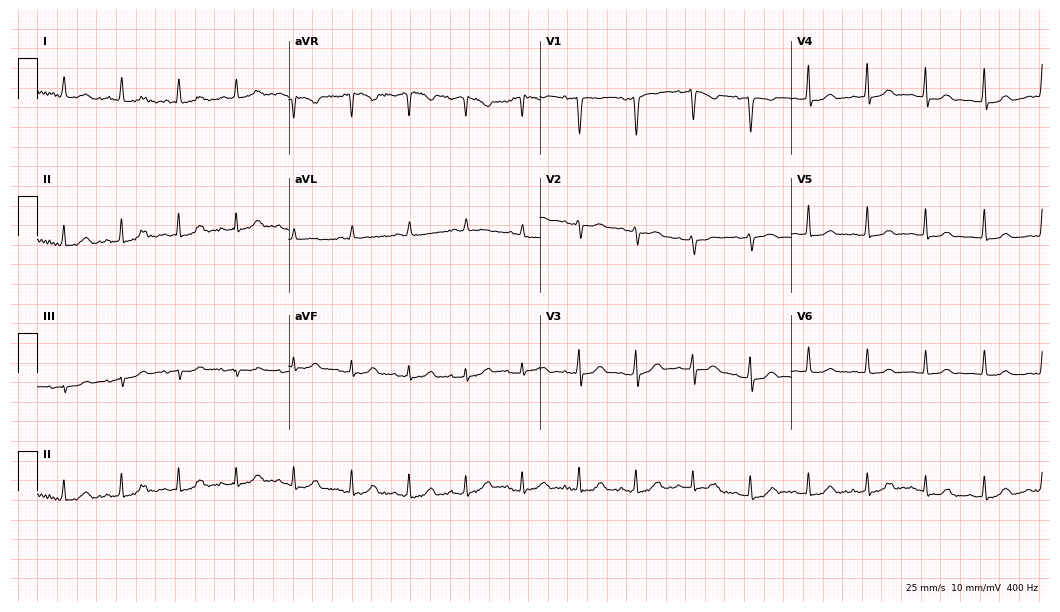
Electrocardiogram, a 73-year-old female. Interpretation includes sinus tachycardia (a sinus rate of 100 beats per minute or more).